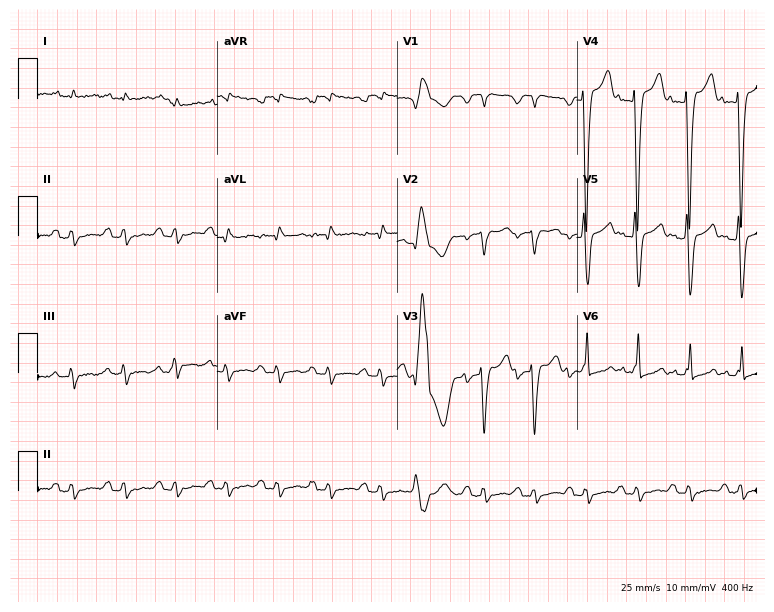
12-lead ECG from a male, 60 years old. Findings include sinus tachycardia (a sinus rate of 100 beats per minute or more).